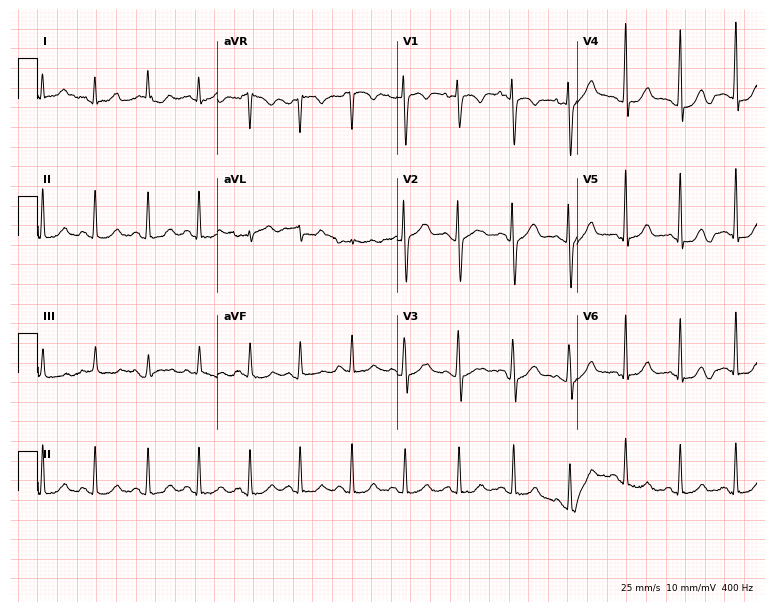
12-lead ECG from a female, 30 years old. Shows sinus tachycardia (a sinus rate of 100 beats per minute or more).